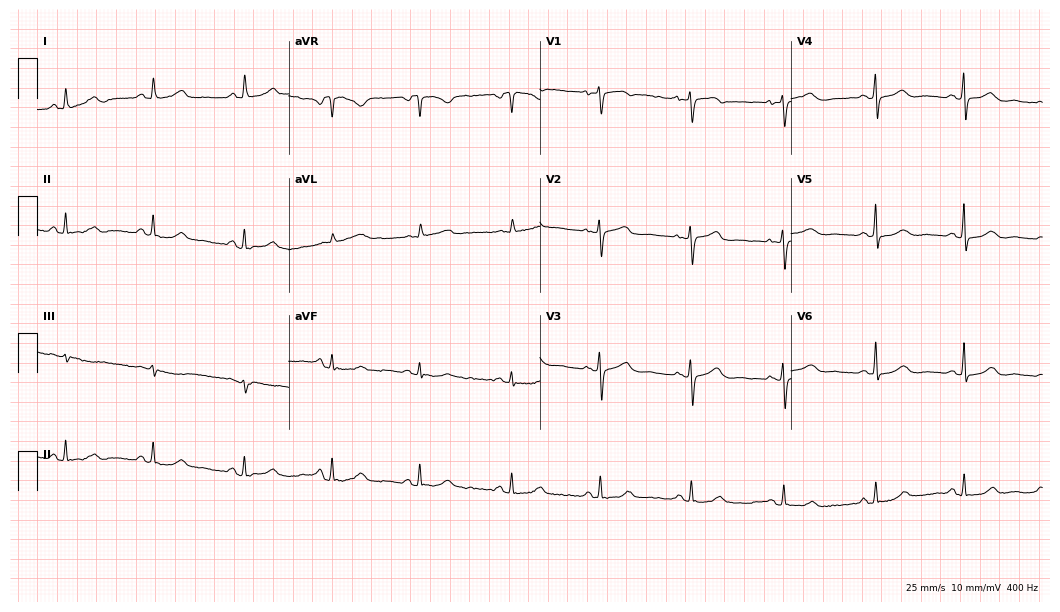
Standard 12-lead ECG recorded from a woman, 62 years old. Read as a normal ECG.